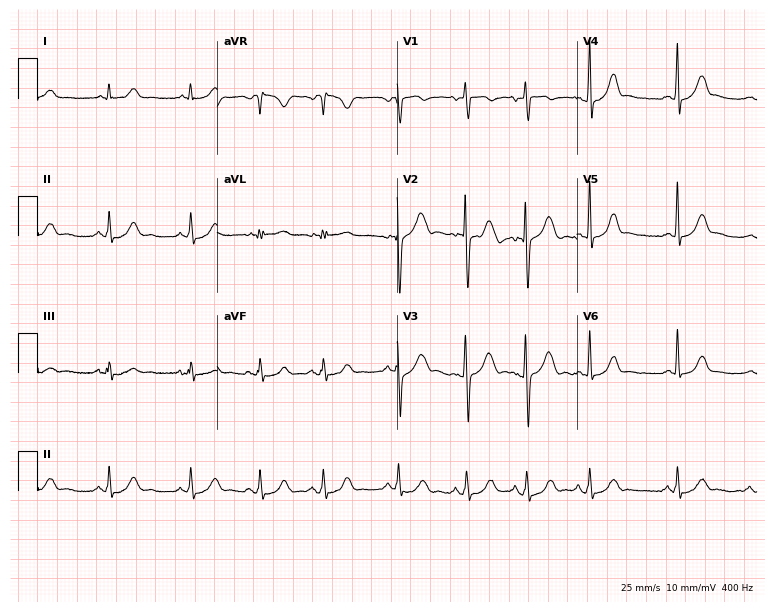
Standard 12-lead ECG recorded from an 18-year-old female patient (7.3-second recording at 400 Hz). Read as a normal ECG.